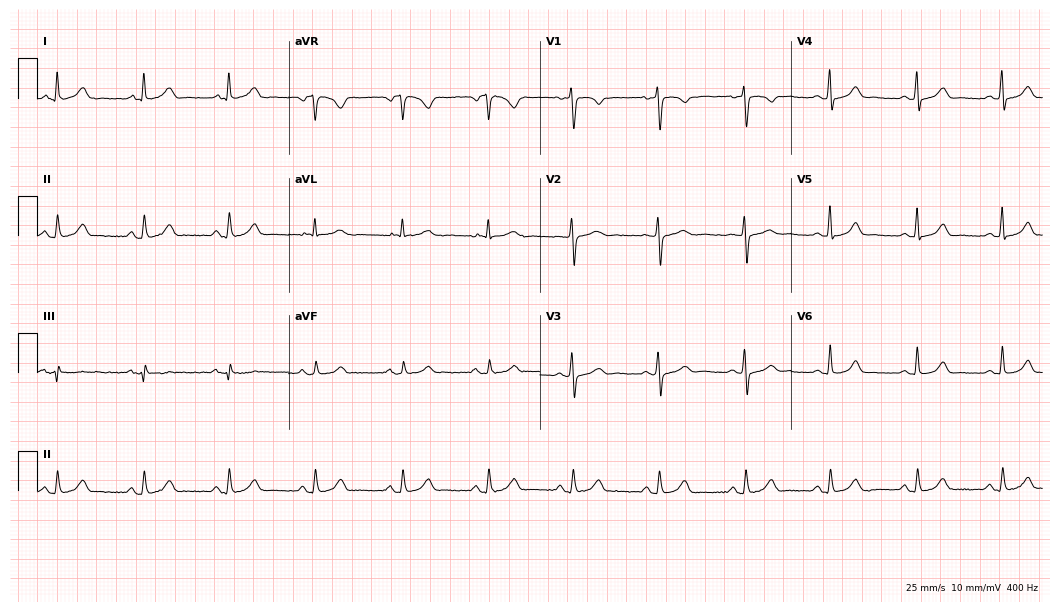
Resting 12-lead electrocardiogram (10.2-second recording at 400 Hz). Patient: a woman, 55 years old. Read as a normal ECG.